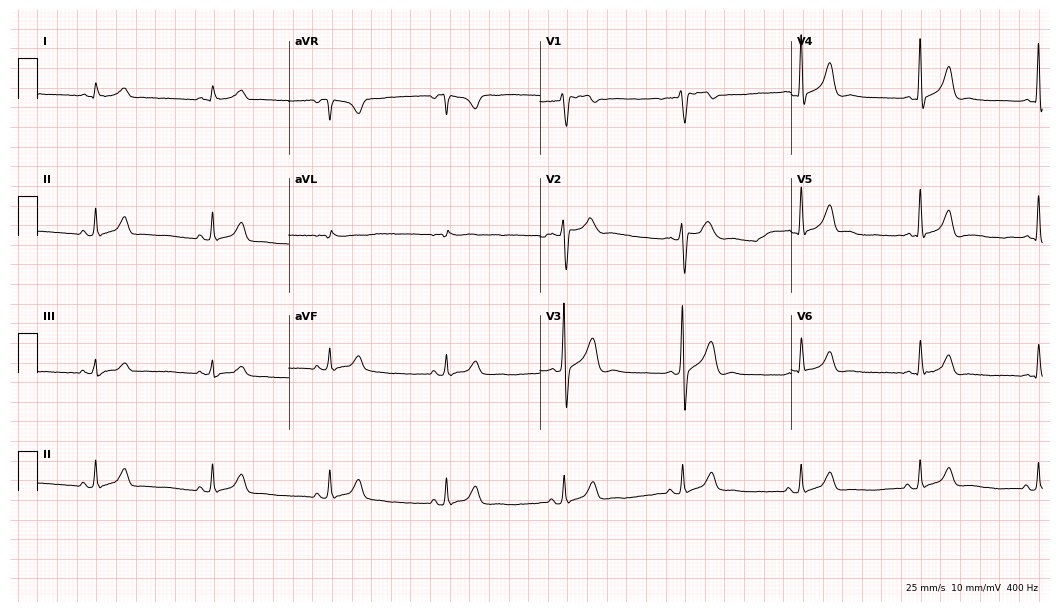
Standard 12-lead ECG recorded from a male, 44 years old (10.2-second recording at 400 Hz). Read as a normal ECG.